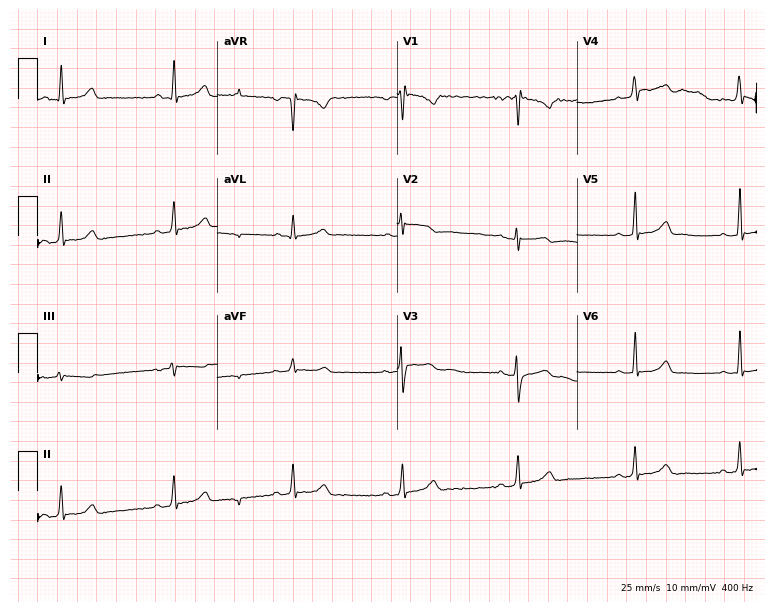
12-lead ECG from a 30-year-old woman. No first-degree AV block, right bundle branch block (RBBB), left bundle branch block (LBBB), sinus bradycardia, atrial fibrillation (AF) or sinus tachycardia recorded for this tracing. Other findings, if any, are not listed.